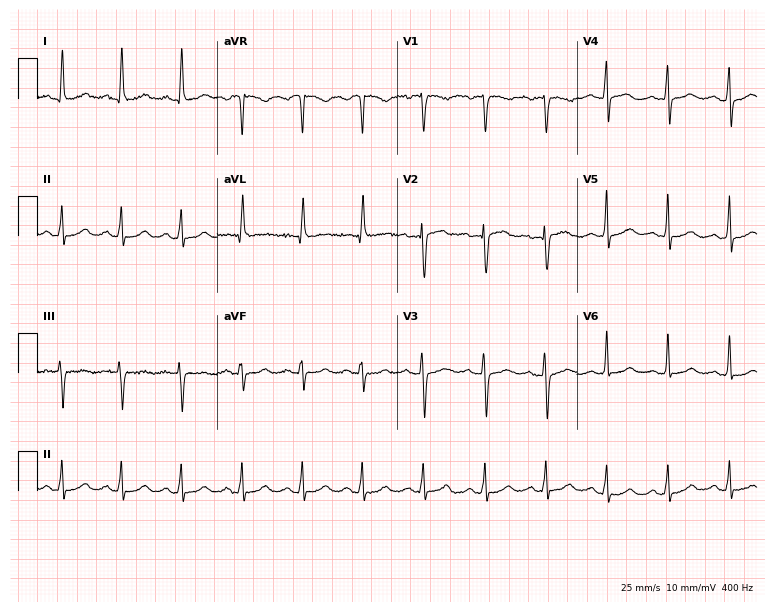
12-lead ECG (7.3-second recording at 400 Hz) from a 46-year-old female. Labelled as a normal ECG.